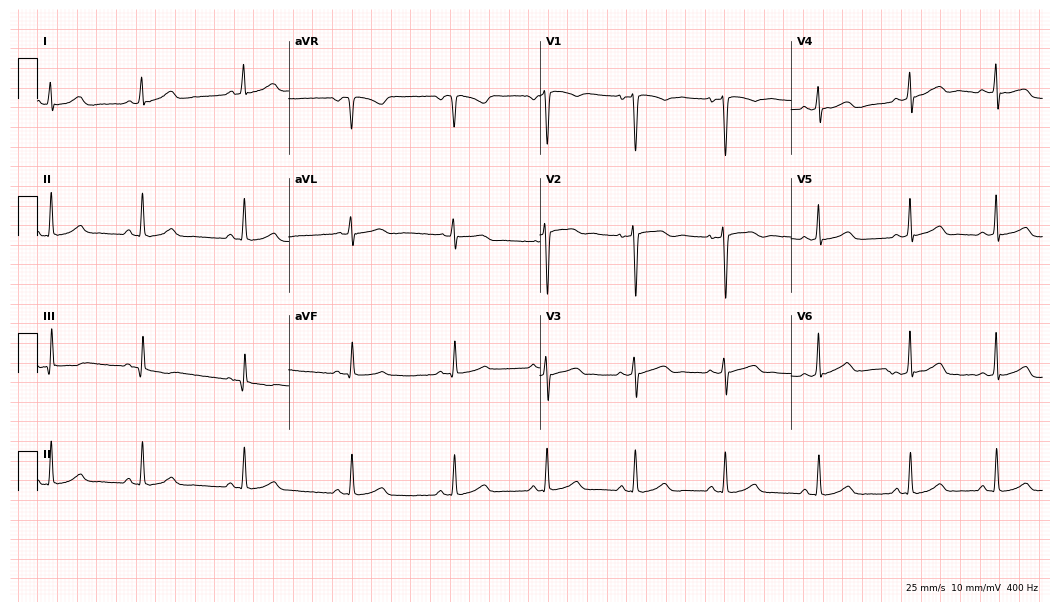
12-lead ECG (10.2-second recording at 400 Hz) from a female, 32 years old. Labelled as a normal ECG.